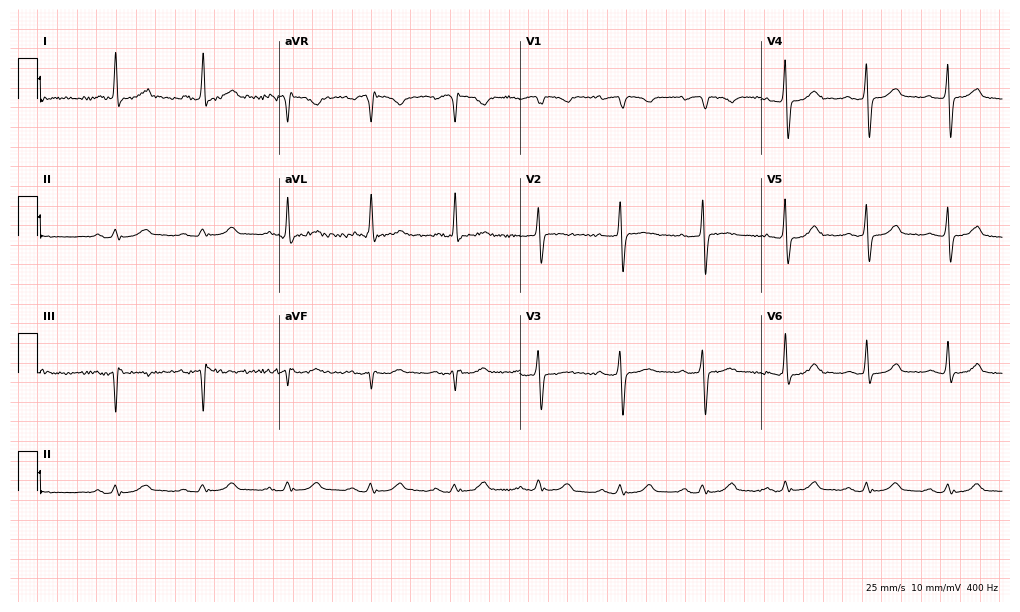
ECG (9.8-second recording at 400 Hz) — a 78-year-old male patient. Screened for six findings — first-degree AV block, right bundle branch block (RBBB), left bundle branch block (LBBB), sinus bradycardia, atrial fibrillation (AF), sinus tachycardia — none is recorded. Findings outside these six are not listed.